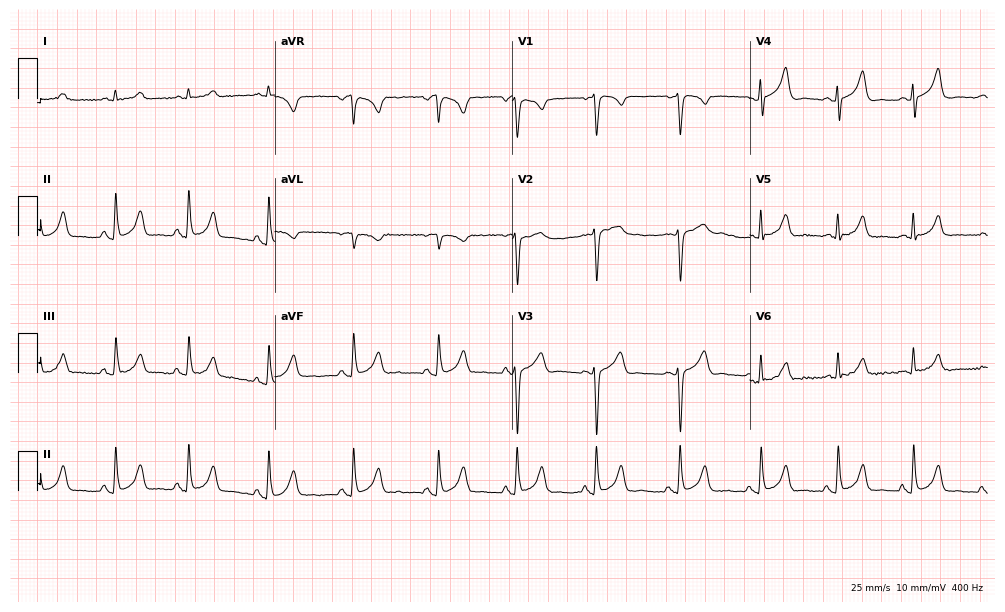
12-lead ECG from a male, 51 years old. Labelled as a normal ECG.